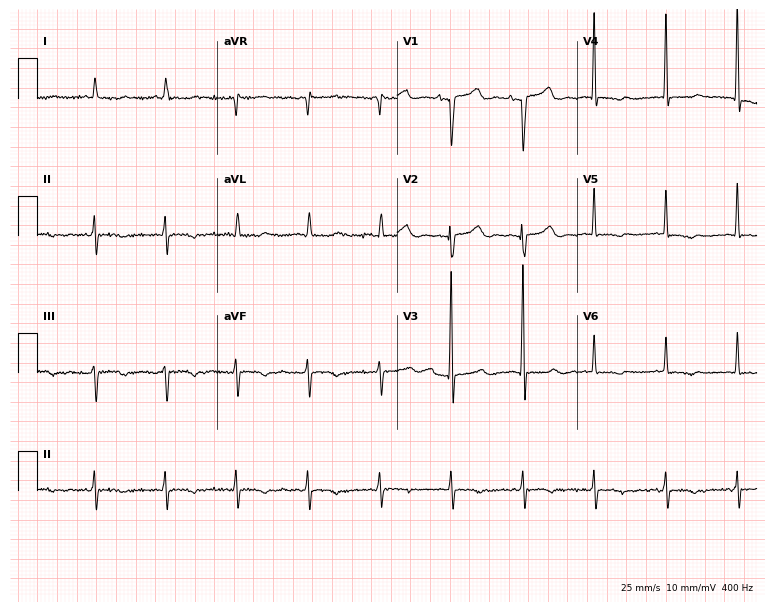
Electrocardiogram, a female, 52 years old. Of the six screened findings (first-degree AV block, right bundle branch block (RBBB), left bundle branch block (LBBB), sinus bradycardia, atrial fibrillation (AF), sinus tachycardia), none is recorded. Other findings, if any, are not listed.